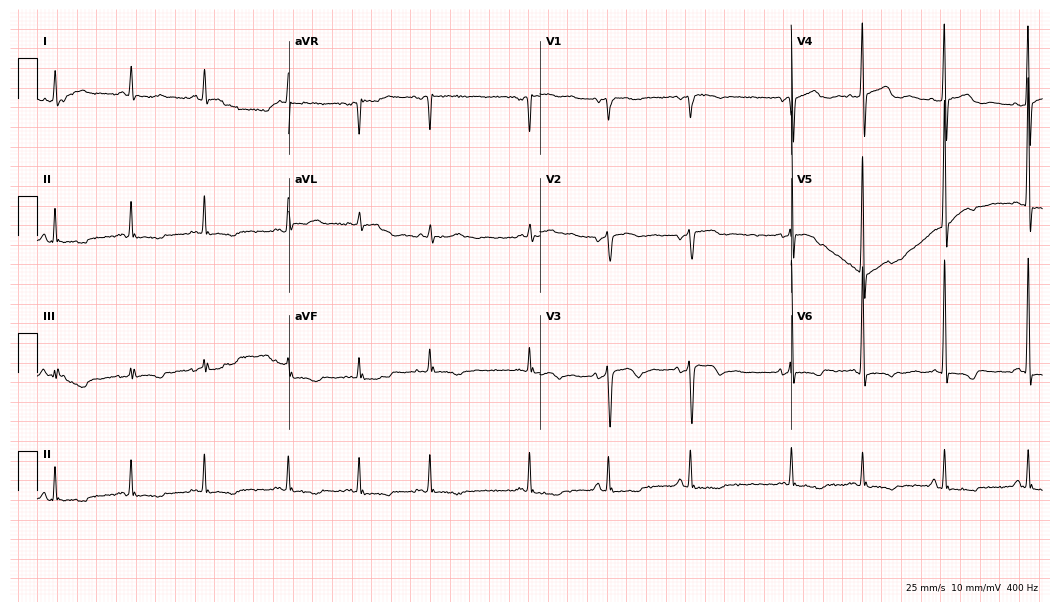
ECG (10.2-second recording at 400 Hz) — an 83-year-old female. Screened for six findings — first-degree AV block, right bundle branch block, left bundle branch block, sinus bradycardia, atrial fibrillation, sinus tachycardia — none is recorded. Only these six findings were labelled.